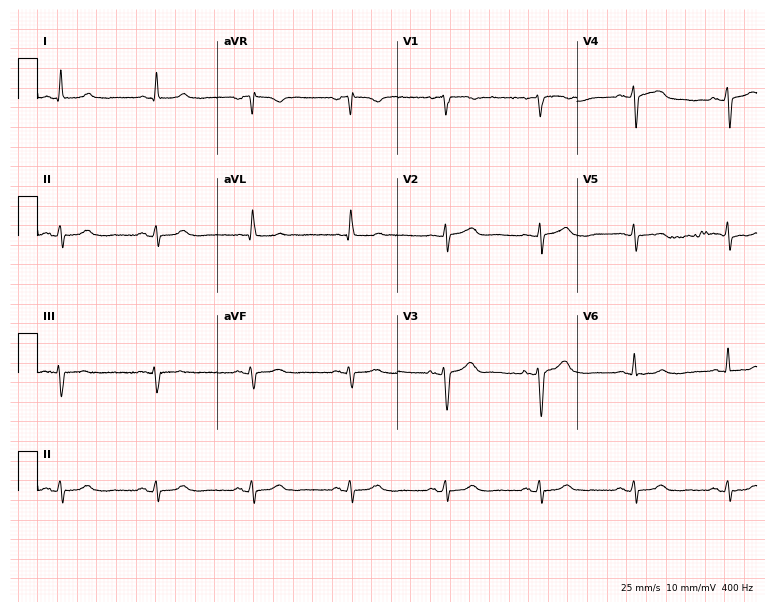
Resting 12-lead electrocardiogram. Patient: a female, 77 years old. Read as a normal ECG.